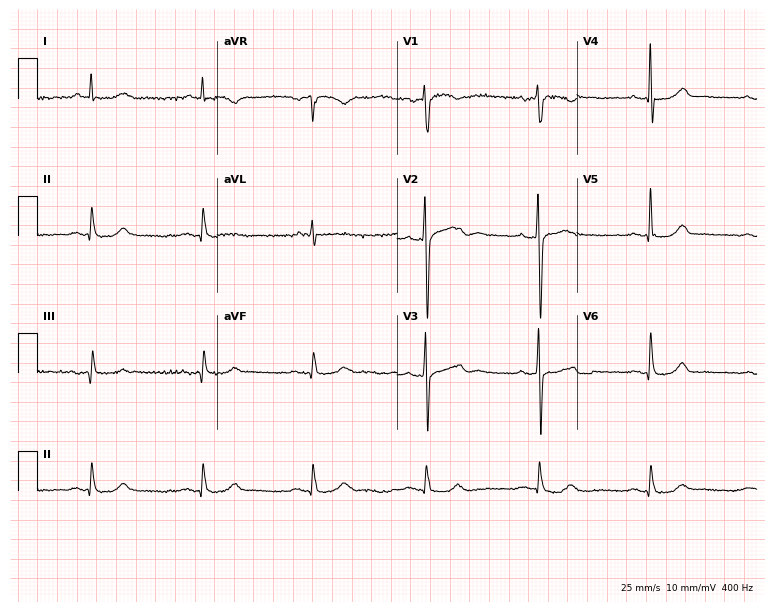
12-lead ECG from a male, 67 years old. Labelled as a normal ECG.